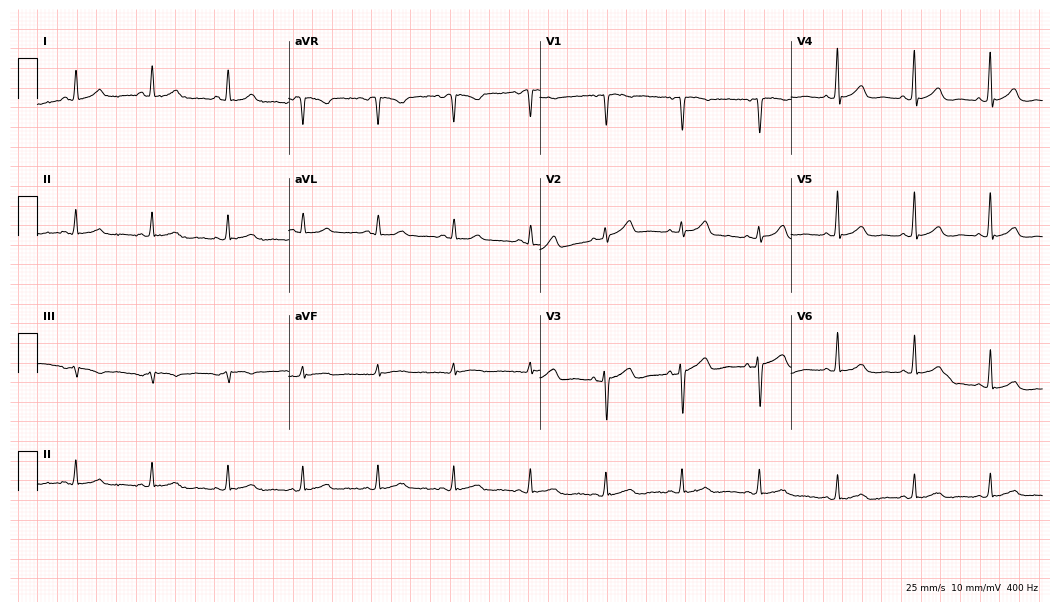
Electrocardiogram, a 48-year-old female. Overall reading on record: normal ECG.